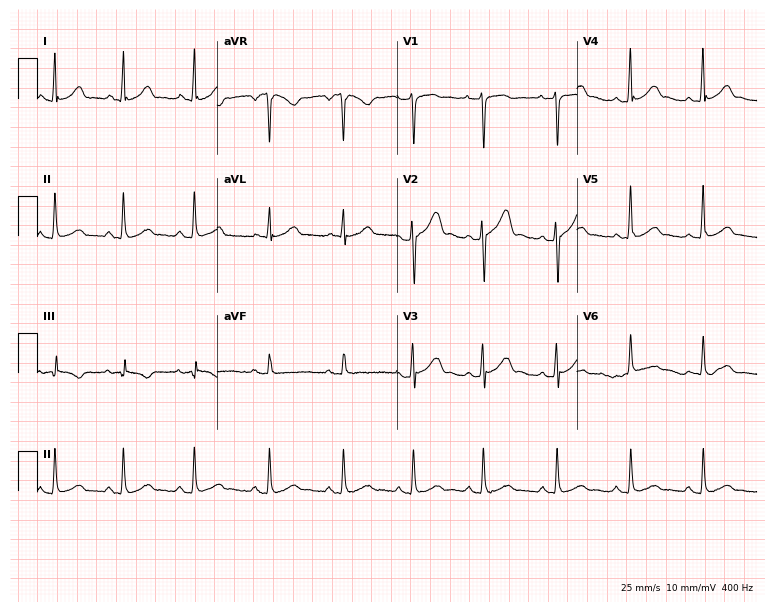
Standard 12-lead ECG recorded from a 20-year-old man (7.3-second recording at 400 Hz). Read as a normal ECG.